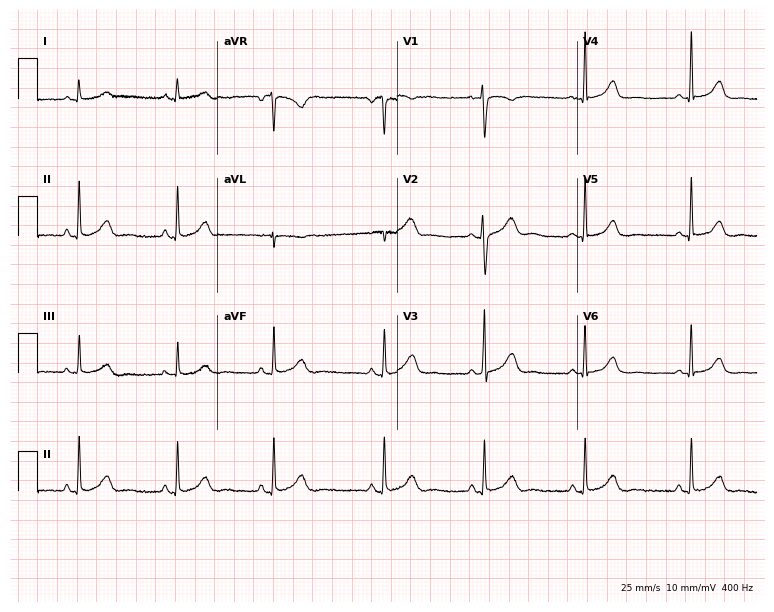
Standard 12-lead ECG recorded from a 21-year-old female patient (7.3-second recording at 400 Hz). None of these six findings is recorded: first-degree AV block, right bundle branch block (RBBB), left bundle branch block (LBBB), sinus bradycardia, atrial fibrillation (AF), sinus tachycardia.